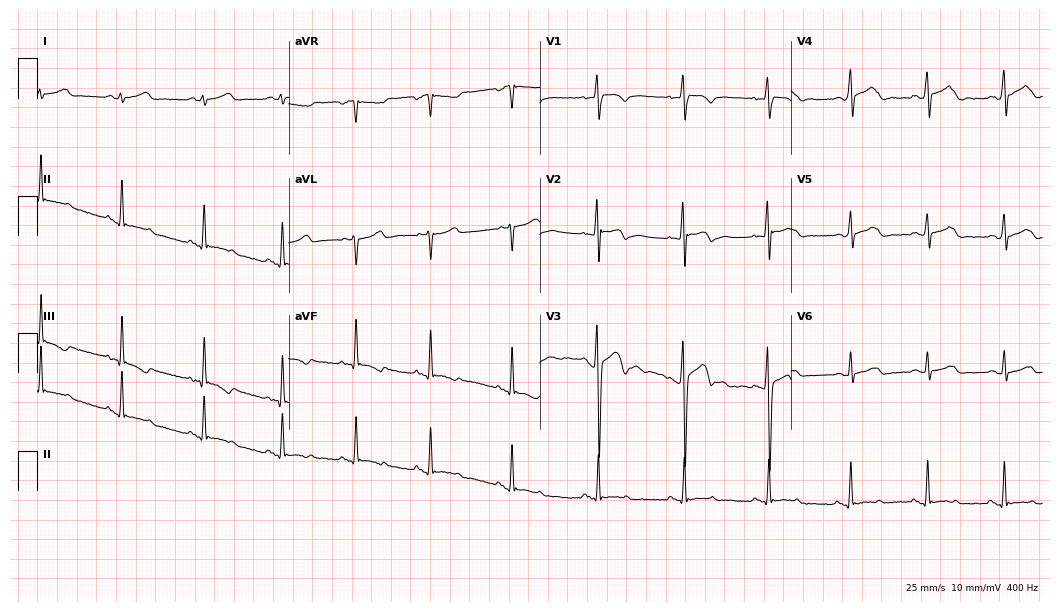
12-lead ECG (10.2-second recording at 400 Hz) from a male, 21 years old. Labelled as a normal ECG.